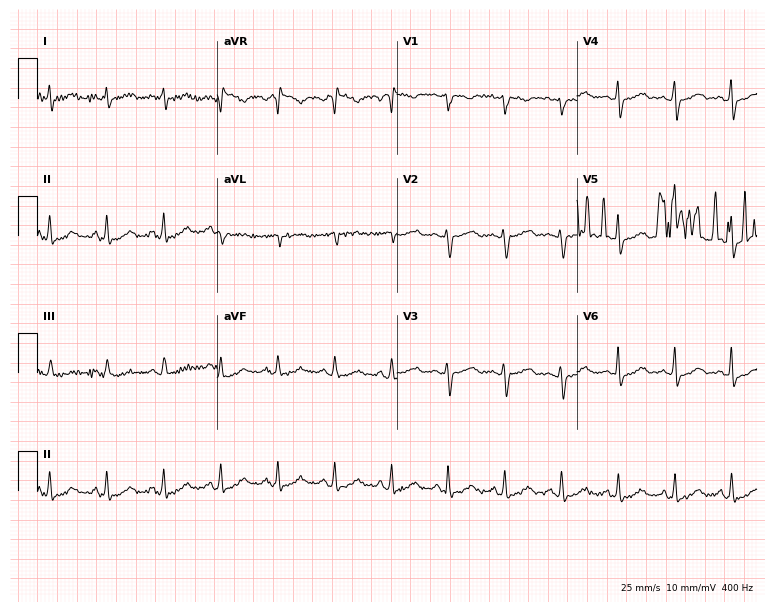
Electrocardiogram, a 41-year-old female patient. Interpretation includes sinus tachycardia (a sinus rate of 100 beats per minute or more).